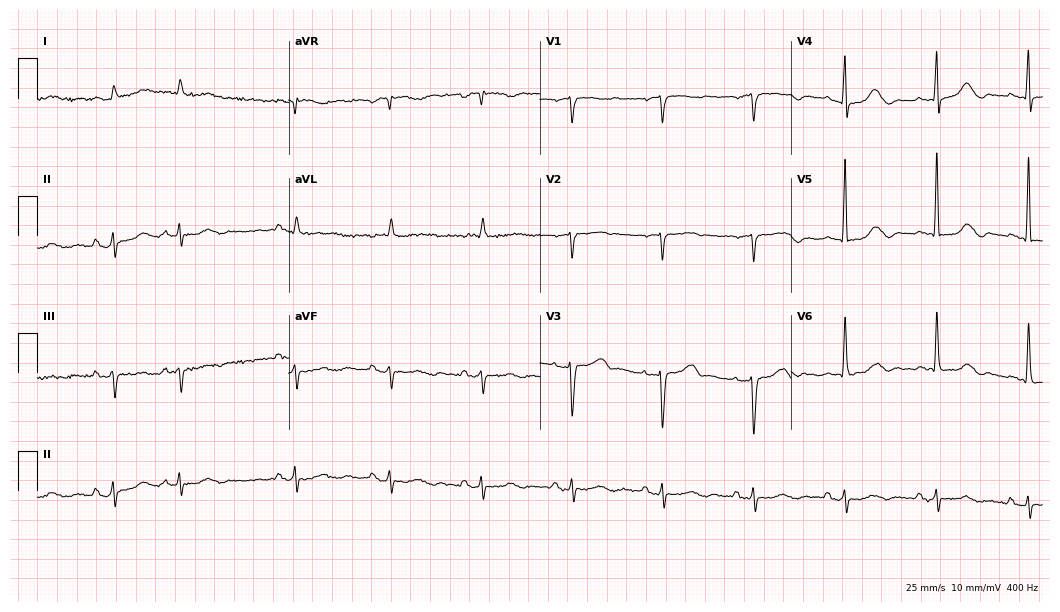
Resting 12-lead electrocardiogram (10.2-second recording at 400 Hz). Patient: a 78-year-old male. None of these six findings is recorded: first-degree AV block, right bundle branch block, left bundle branch block, sinus bradycardia, atrial fibrillation, sinus tachycardia. Findings outside these six are not listed.